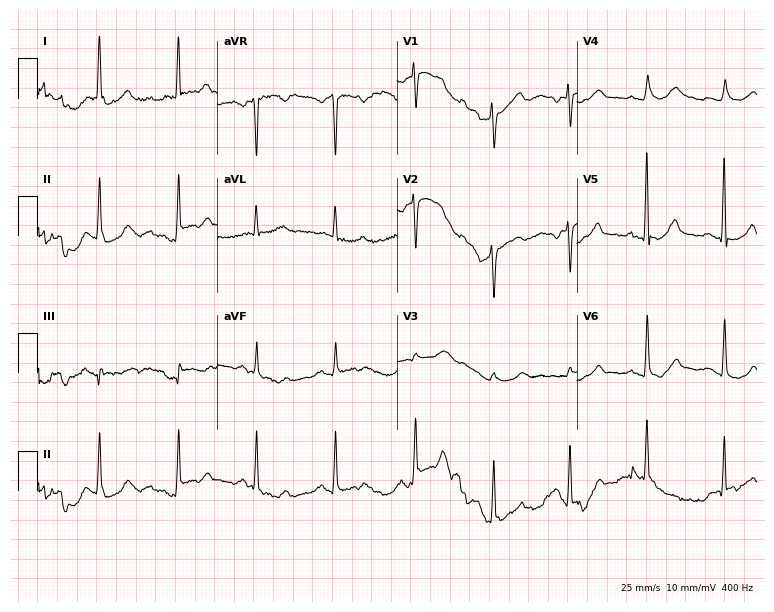
Resting 12-lead electrocardiogram. Patient: a 51-year-old female. None of these six findings is recorded: first-degree AV block, right bundle branch block, left bundle branch block, sinus bradycardia, atrial fibrillation, sinus tachycardia. Findings outside these six are not listed.